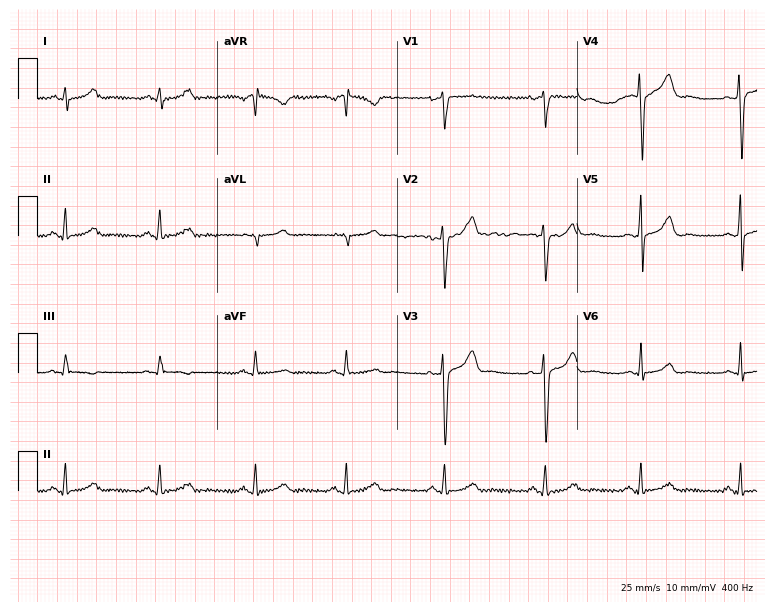
ECG — a man, 45 years old. Labelled as a normal ECG.